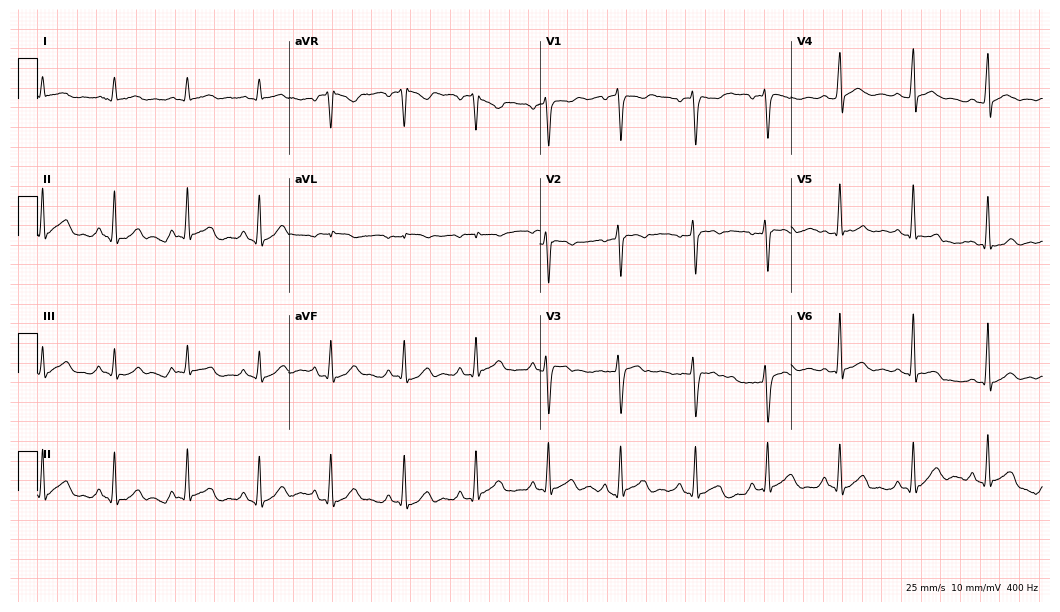
Electrocardiogram (10.2-second recording at 400 Hz), a 26-year-old male. Overall reading on record: normal ECG.